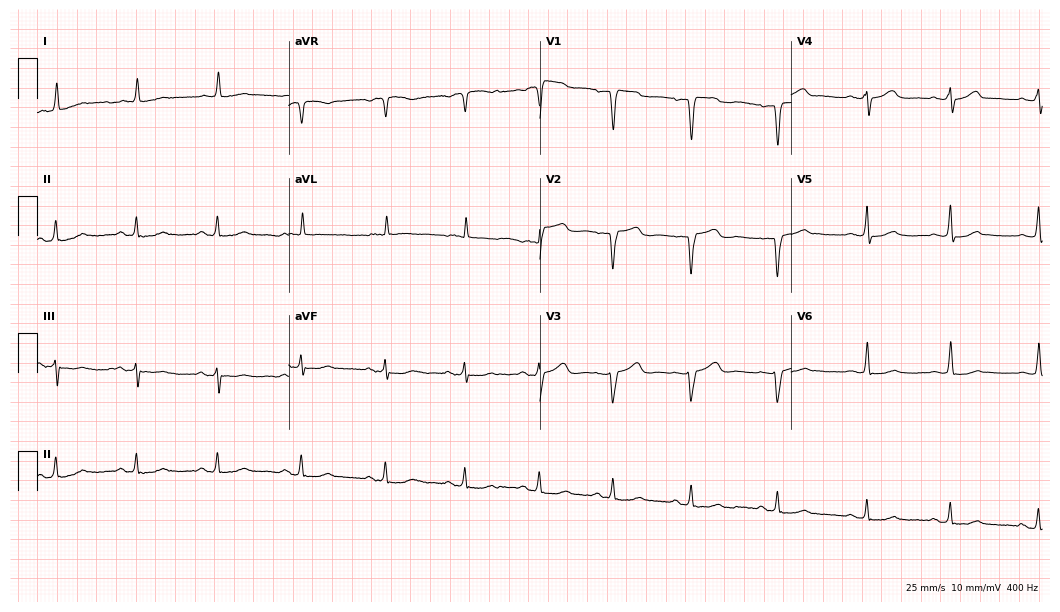
Standard 12-lead ECG recorded from a female, 58 years old. None of these six findings is recorded: first-degree AV block, right bundle branch block, left bundle branch block, sinus bradycardia, atrial fibrillation, sinus tachycardia. Findings outside these six are not listed.